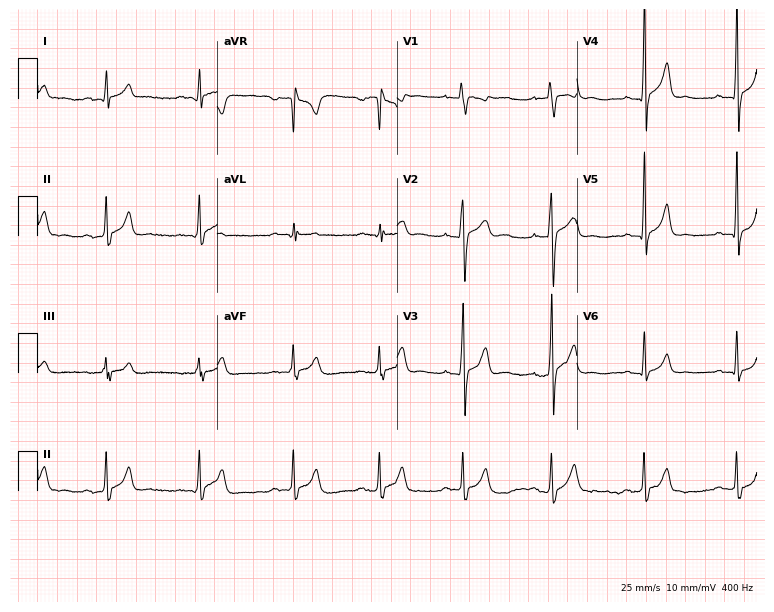
ECG — a man, 25 years old. Screened for six findings — first-degree AV block, right bundle branch block, left bundle branch block, sinus bradycardia, atrial fibrillation, sinus tachycardia — none is recorded.